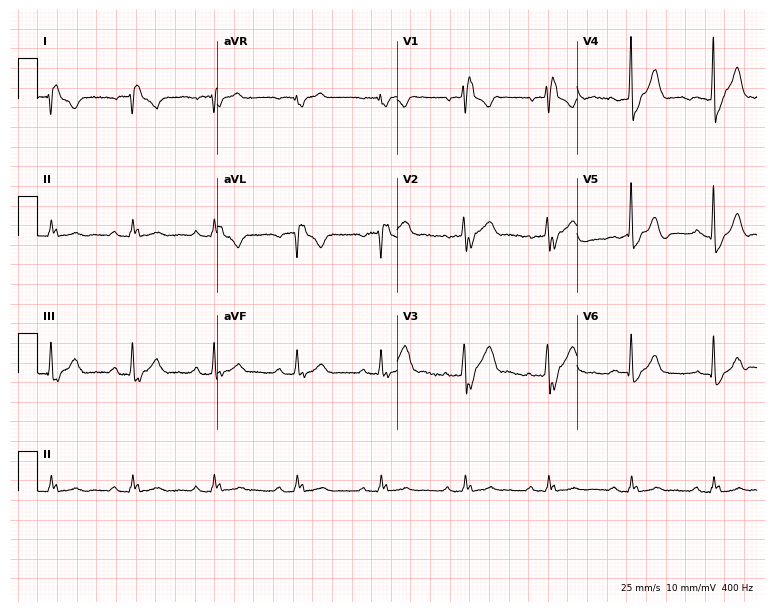
Standard 12-lead ECG recorded from a male patient, 32 years old. The tracing shows right bundle branch block (RBBB).